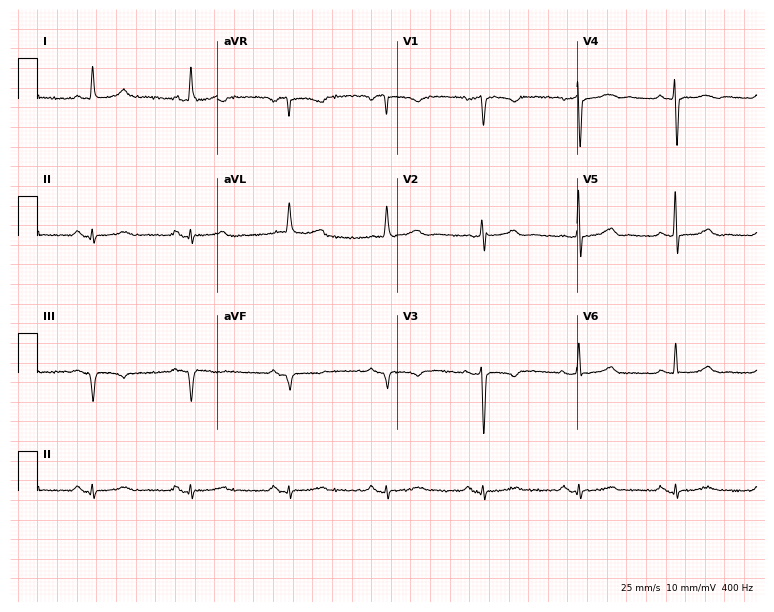
Standard 12-lead ECG recorded from a 76-year-old female (7.3-second recording at 400 Hz). None of these six findings is recorded: first-degree AV block, right bundle branch block (RBBB), left bundle branch block (LBBB), sinus bradycardia, atrial fibrillation (AF), sinus tachycardia. Other findings, if any, are not listed.